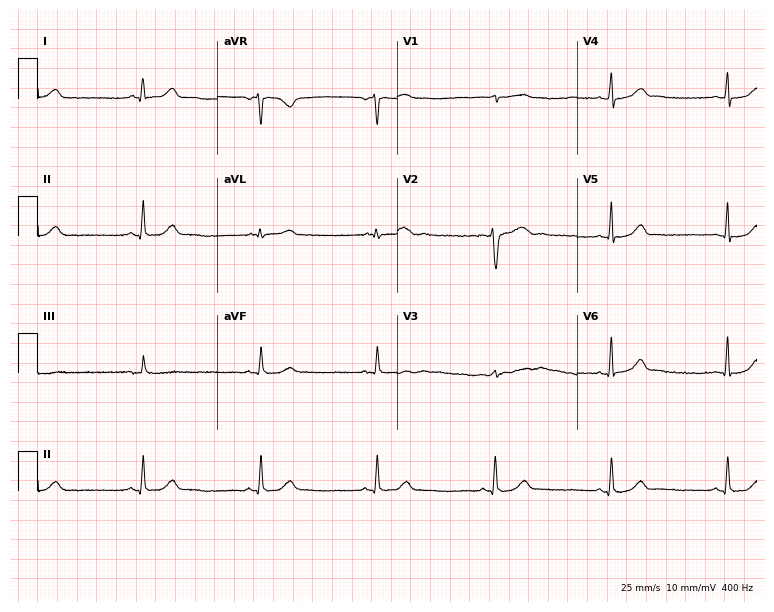
12-lead ECG from a female patient, 33 years old. Screened for six findings — first-degree AV block, right bundle branch block, left bundle branch block, sinus bradycardia, atrial fibrillation, sinus tachycardia — none is recorded.